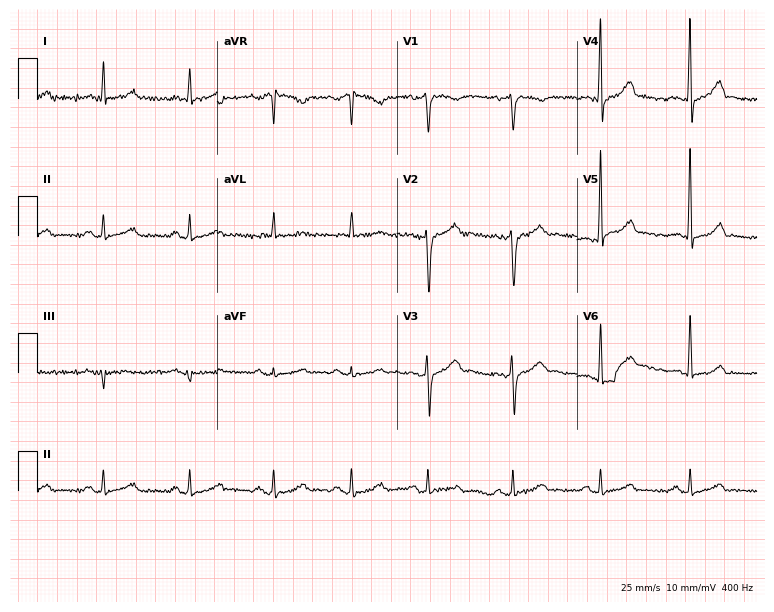
Standard 12-lead ECG recorded from a man, 47 years old (7.3-second recording at 400 Hz). None of these six findings is recorded: first-degree AV block, right bundle branch block, left bundle branch block, sinus bradycardia, atrial fibrillation, sinus tachycardia. Only these six findings were labelled.